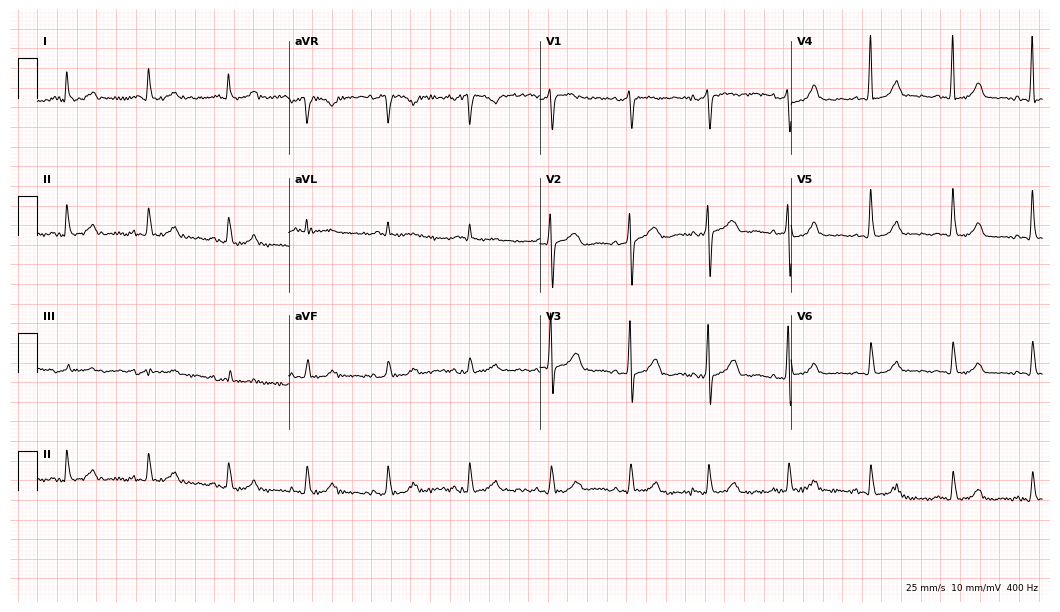
Electrocardiogram, a 60-year-old female. Of the six screened findings (first-degree AV block, right bundle branch block, left bundle branch block, sinus bradycardia, atrial fibrillation, sinus tachycardia), none is recorded. Findings outside these six are not listed.